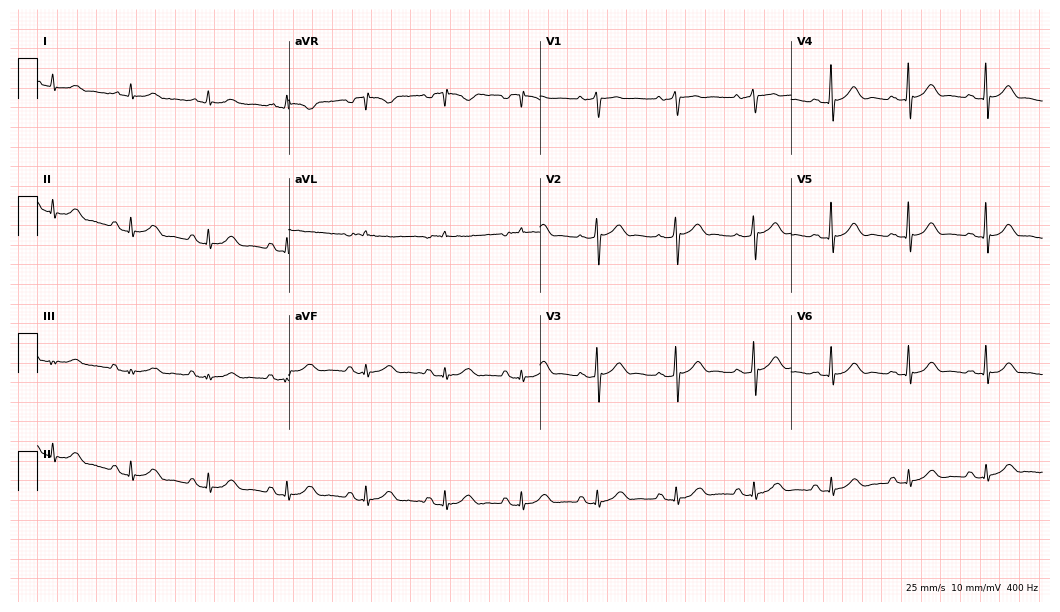
Resting 12-lead electrocardiogram. Patient: a male, 60 years old. Read as a normal ECG.